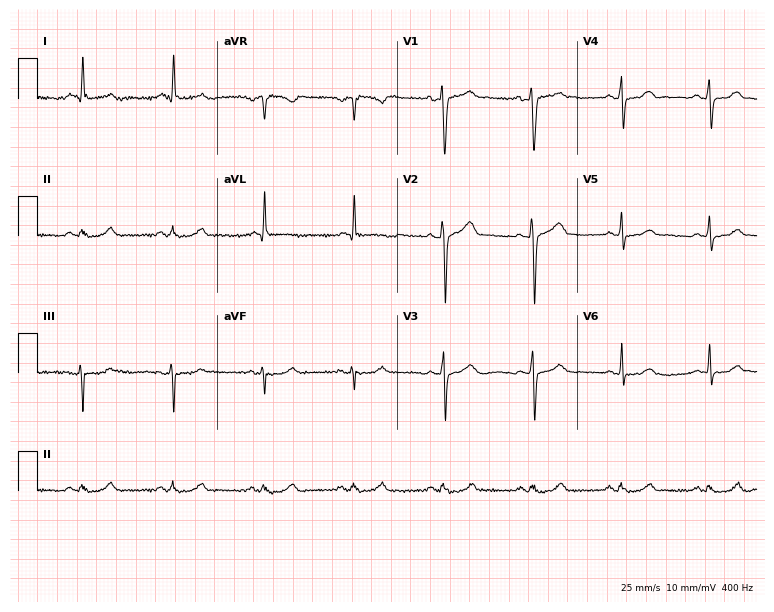
Resting 12-lead electrocardiogram (7.3-second recording at 400 Hz). Patient: a male, 46 years old. Read as a normal ECG.